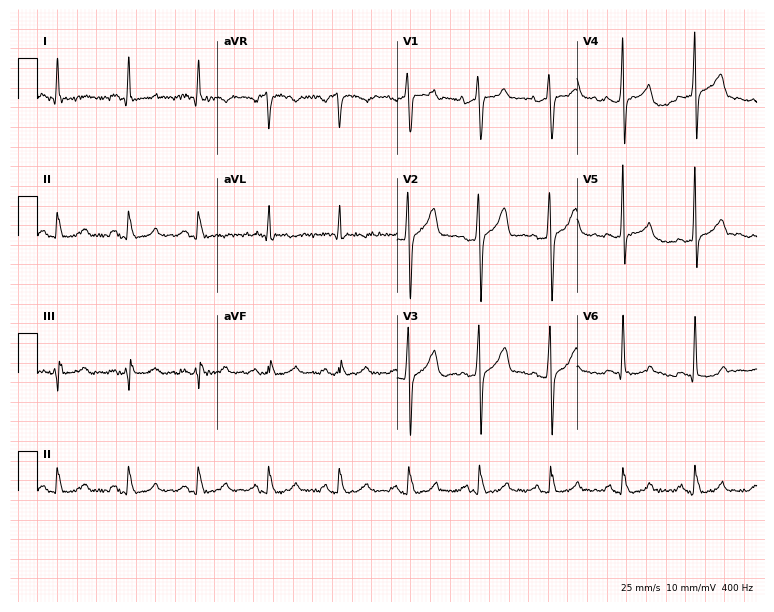
Standard 12-lead ECG recorded from a 45-year-old male (7.3-second recording at 400 Hz). None of these six findings is recorded: first-degree AV block, right bundle branch block, left bundle branch block, sinus bradycardia, atrial fibrillation, sinus tachycardia.